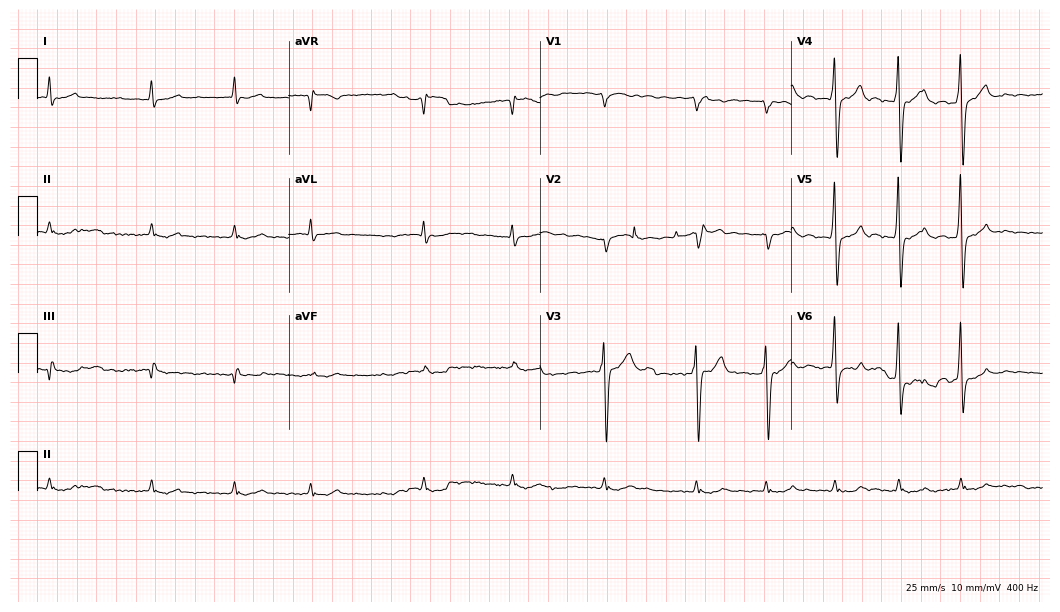
12-lead ECG (10.2-second recording at 400 Hz) from a male, 73 years old. Findings include atrial fibrillation (AF).